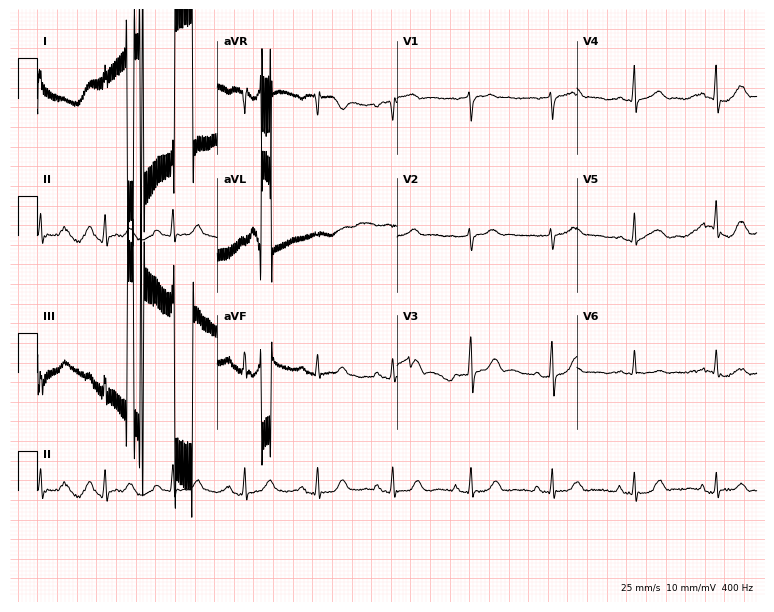
12-lead ECG from a 53-year-old woman (7.3-second recording at 400 Hz). Recorded interpretation: within normal limits.